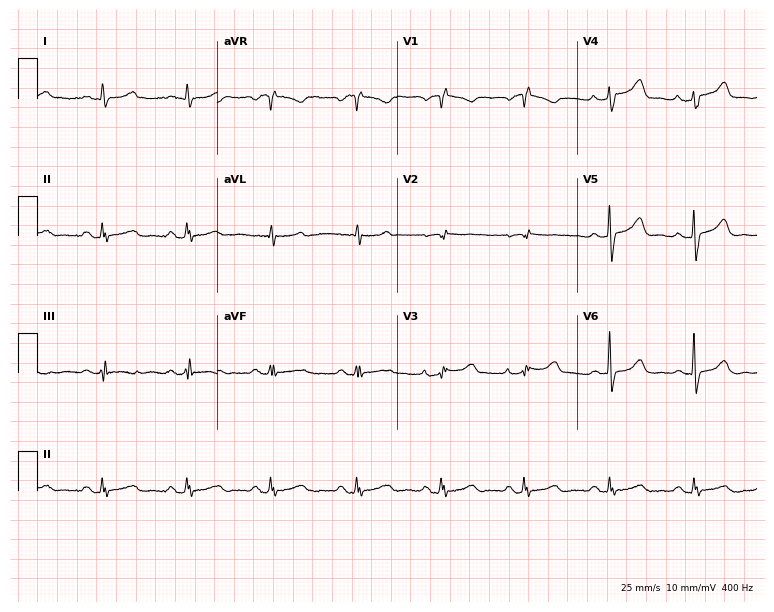
ECG (7.3-second recording at 400 Hz) — a 77-year-old woman. Screened for six findings — first-degree AV block, right bundle branch block (RBBB), left bundle branch block (LBBB), sinus bradycardia, atrial fibrillation (AF), sinus tachycardia — none is recorded.